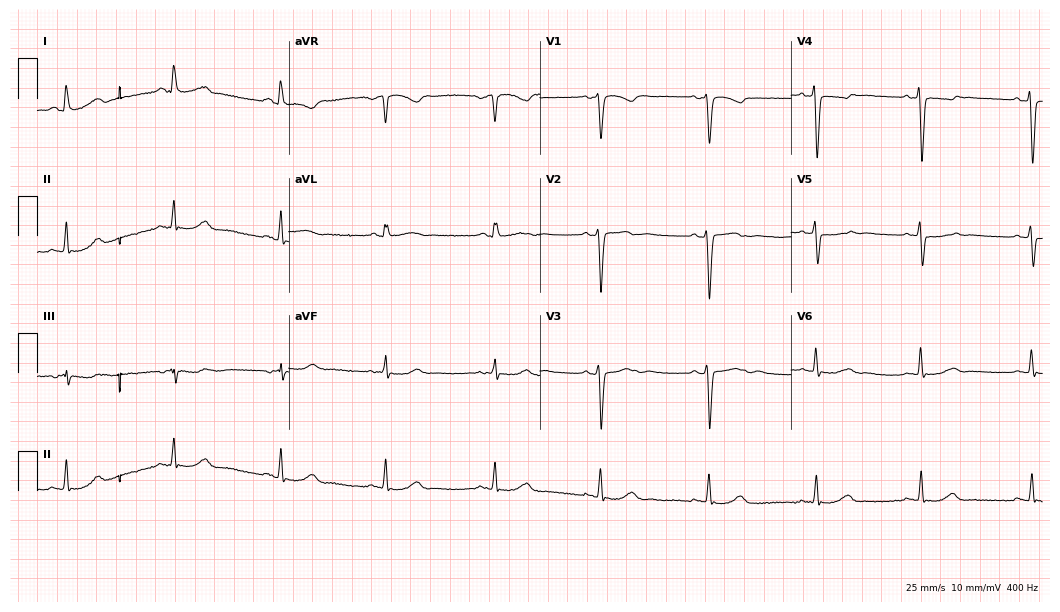
Electrocardiogram, a 51-year-old female. Overall reading on record: normal ECG.